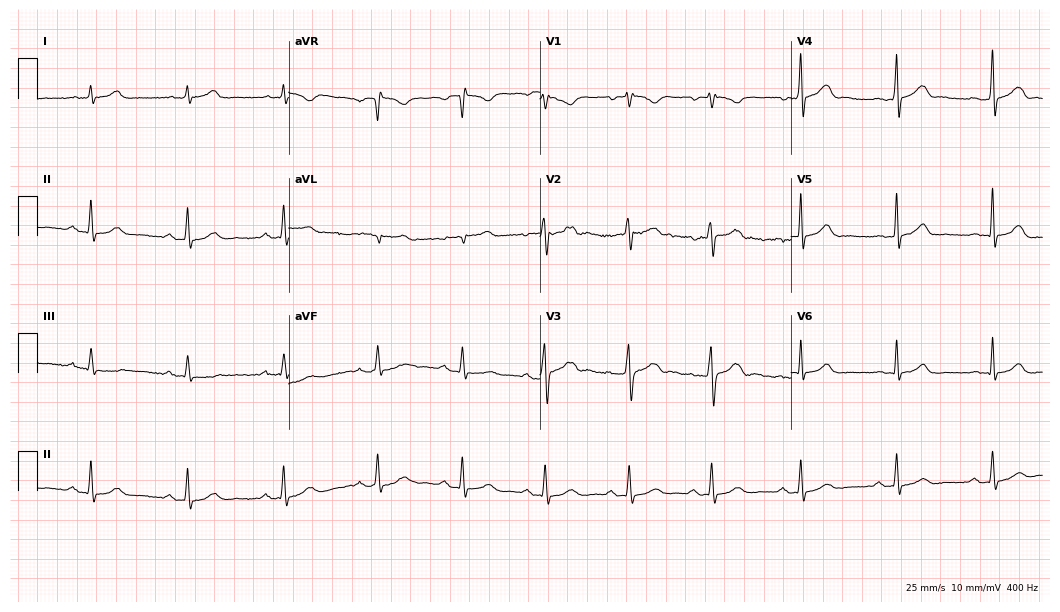
12-lead ECG from a male, 33 years old. Labelled as a normal ECG.